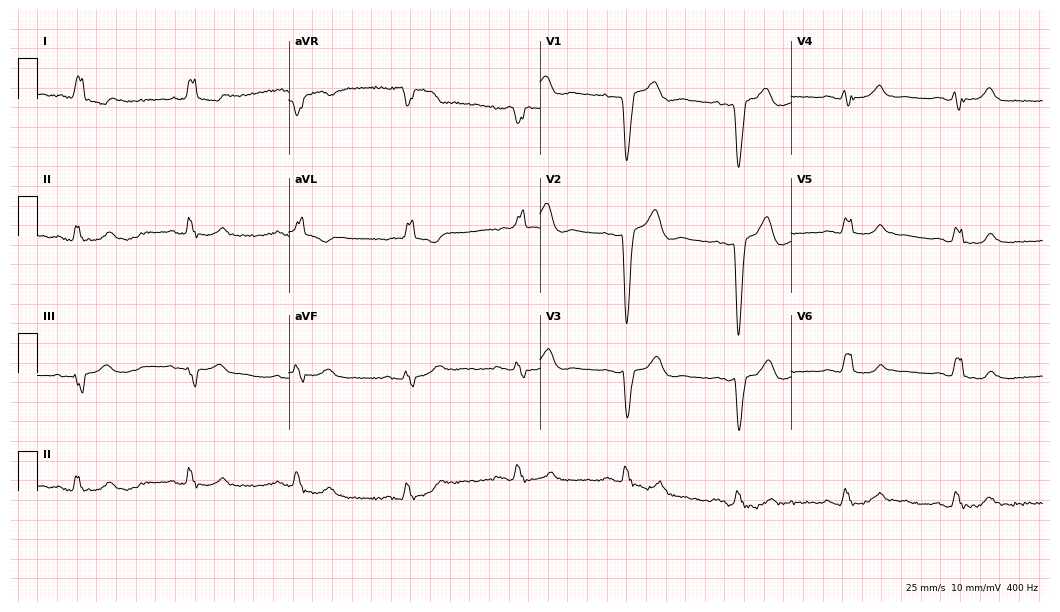
12-lead ECG from a female, 83 years old. Findings include left bundle branch block.